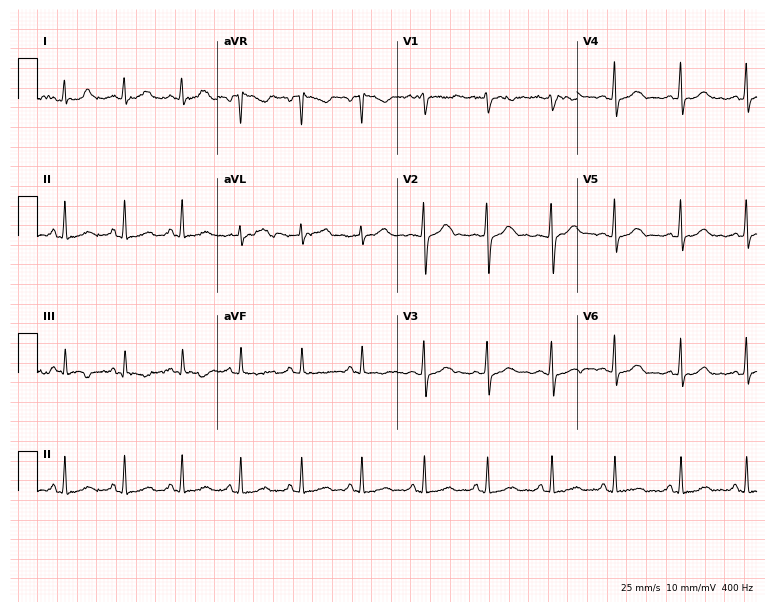
ECG — a female, 24 years old. Screened for six findings — first-degree AV block, right bundle branch block (RBBB), left bundle branch block (LBBB), sinus bradycardia, atrial fibrillation (AF), sinus tachycardia — none is recorded. Only these six findings were labelled.